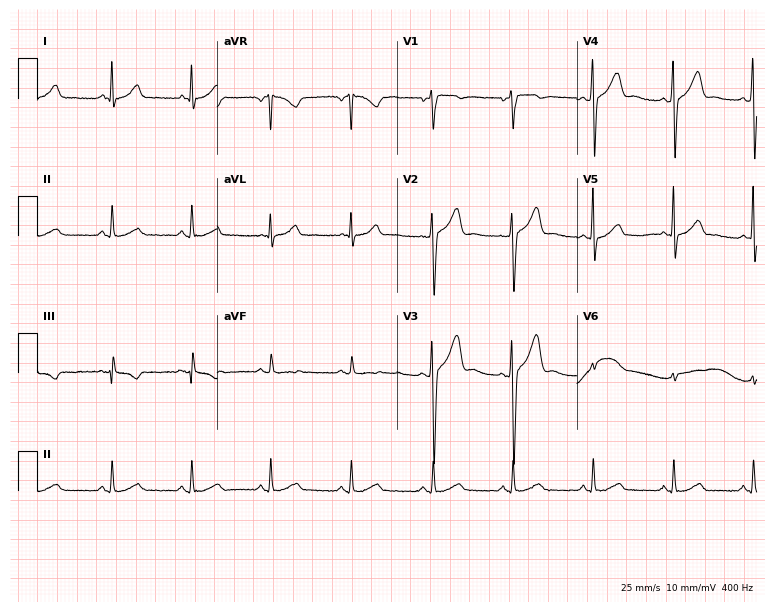
Electrocardiogram (7.3-second recording at 400 Hz), a 49-year-old male. Overall reading on record: normal ECG.